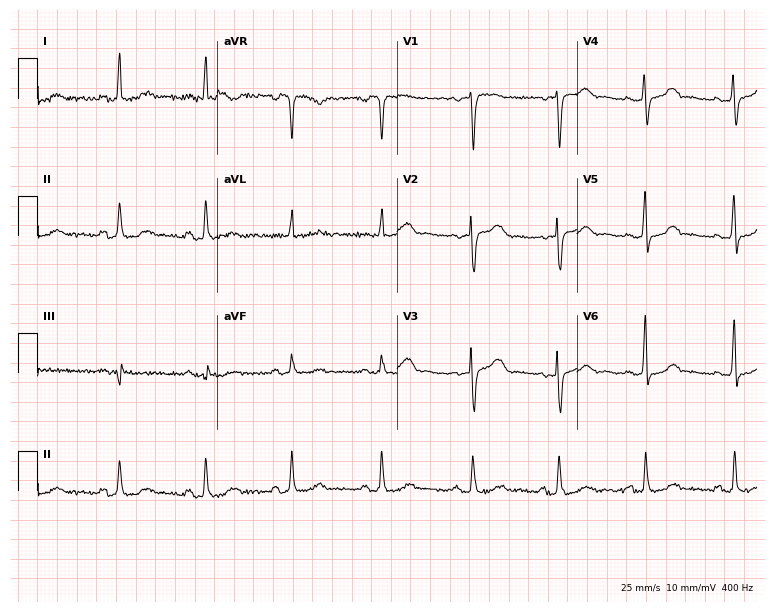
Resting 12-lead electrocardiogram (7.3-second recording at 400 Hz). Patient: a 57-year-old woman. None of these six findings is recorded: first-degree AV block, right bundle branch block, left bundle branch block, sinus bradycardia, atrial fibrillation, sinus tachycardia. Only these six findings were labelled.